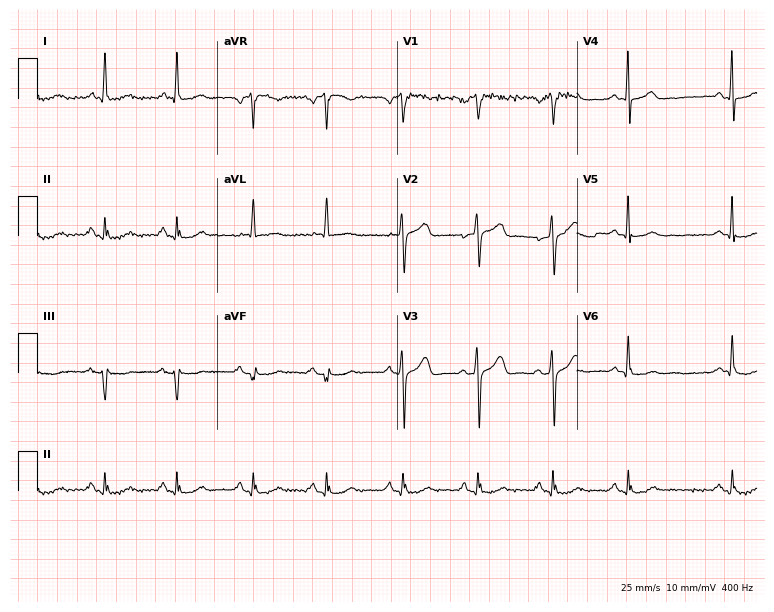
Standard 12-lead ECG recorded from a man, 68 years old (7.3-second recording at 400 Hz). None of these six findings is recorded: first-degree AV block, right bundle branch block, left bundle branch block, sinus bradycardia, atrial fibrillation, sinus tachycardia. Only these six findings were labelled.